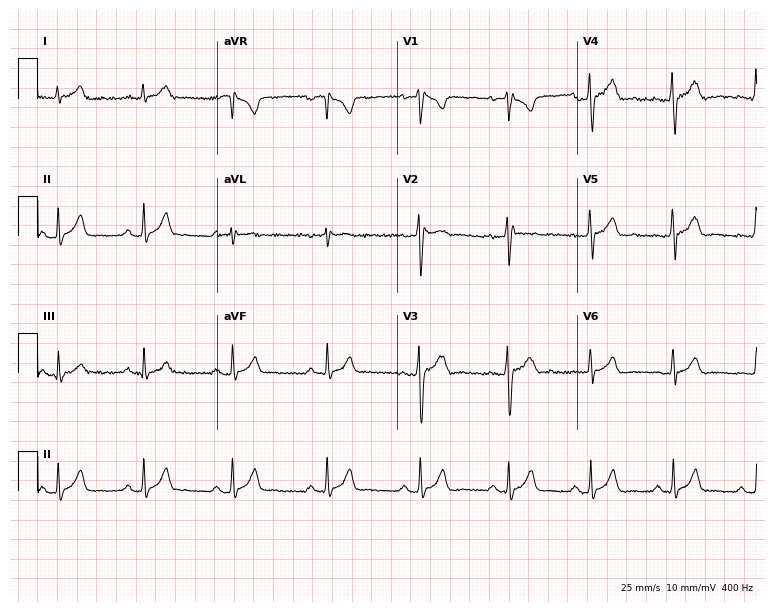
12-lead ECG from a 28-year-old male patient (7.3-second recording at 400 Hz). No first-degree AV block, right bundle branch block, left bundle branch block, sinus bradycardia, atrial fibrillation or sinus tachycardia recorded for this tracing. Findings outside these six are not listed.